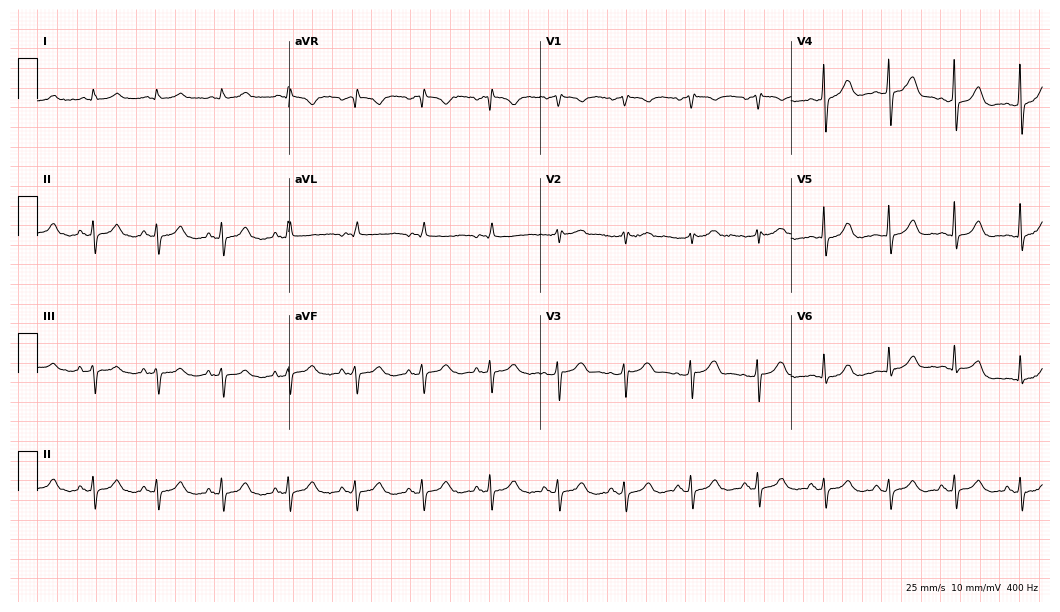
ECG (10.2-second recording at 400 Hz) — a 62-year-old female. Labelled as a normal ECG.